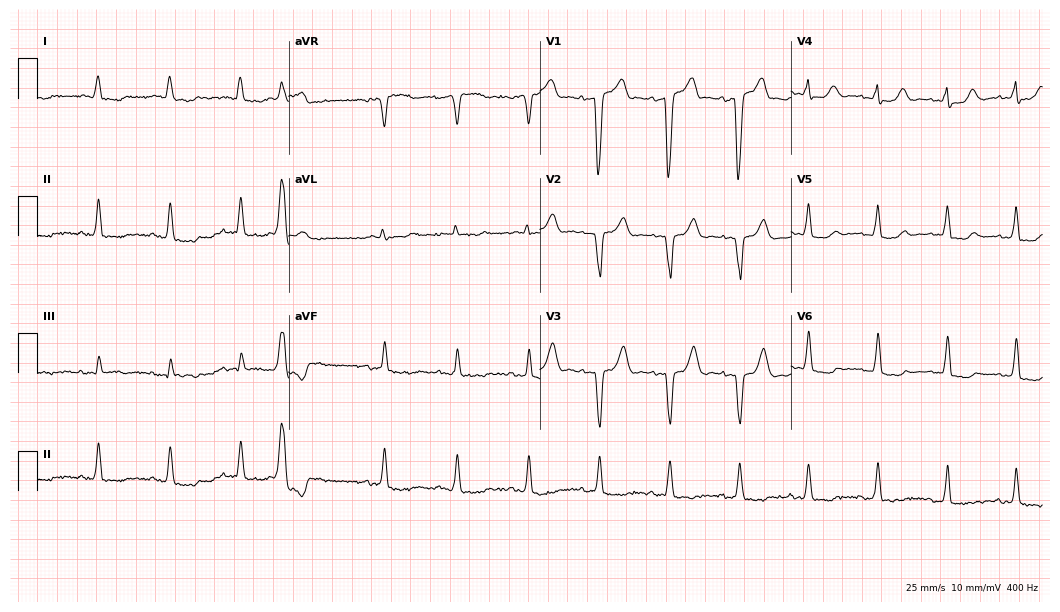
12-lead ECG from an 85-year-old male patient. No first-degree AV block, right bundle branch block, left bundle branch block, sinus bradycardia, atrial fibrillation or sinus tachycardia recorded for this tracing. Only these six findings were labelled.